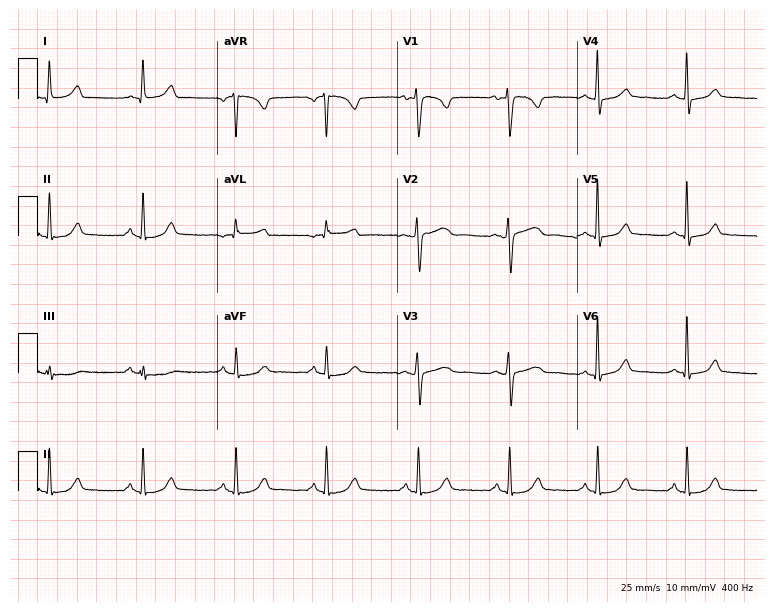
12-lead ECG from a 35-year-old female (7.3-second recording at 400 Hz). Recorded interpretation: within normal limits.